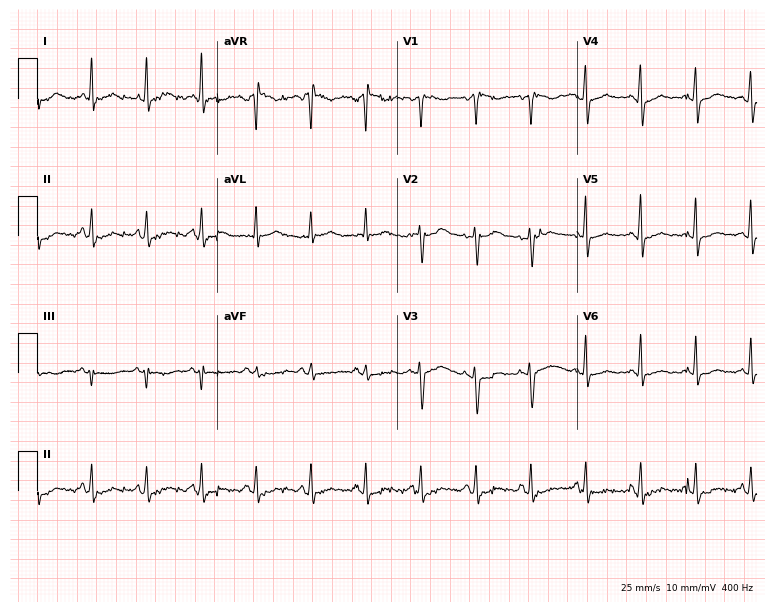
Resting 12-lead electrocardiogram. Patient: a 33-year-old female. The tracing shows sinus tachycardia (a sinus rate of 100 beats per minute or more).